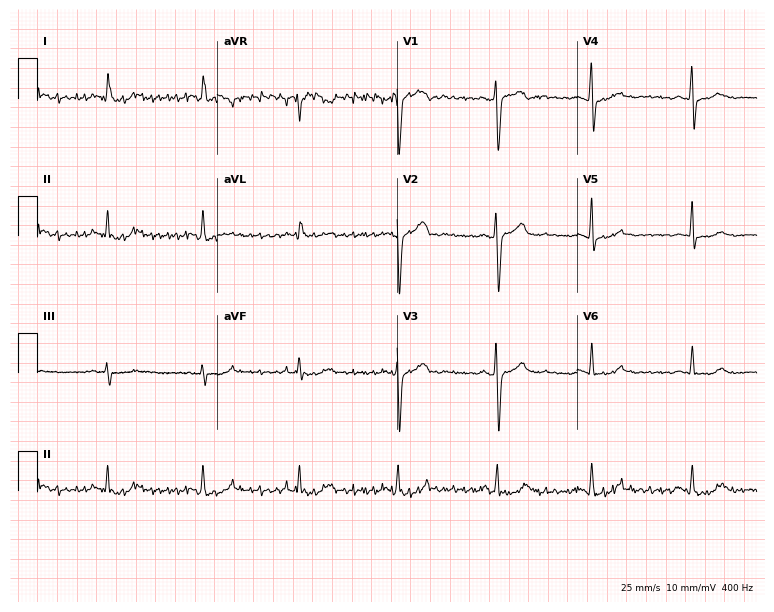
12-lead ECG (7.3-second recording at 400 Hz) from a 39-year-old female patient. Screened for six findings — first-degree AV block, right bundle branch block, left bundle branch block, sinus bradycardia, atrial fibrillation, sinus tachycardia — none is recorded.